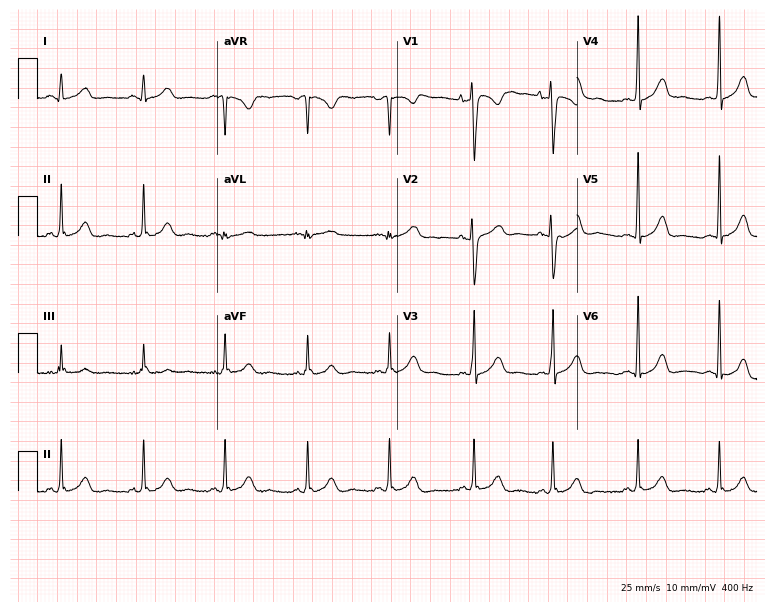
ECG — a woman, 25 years old. Labelled as a normal ECG.